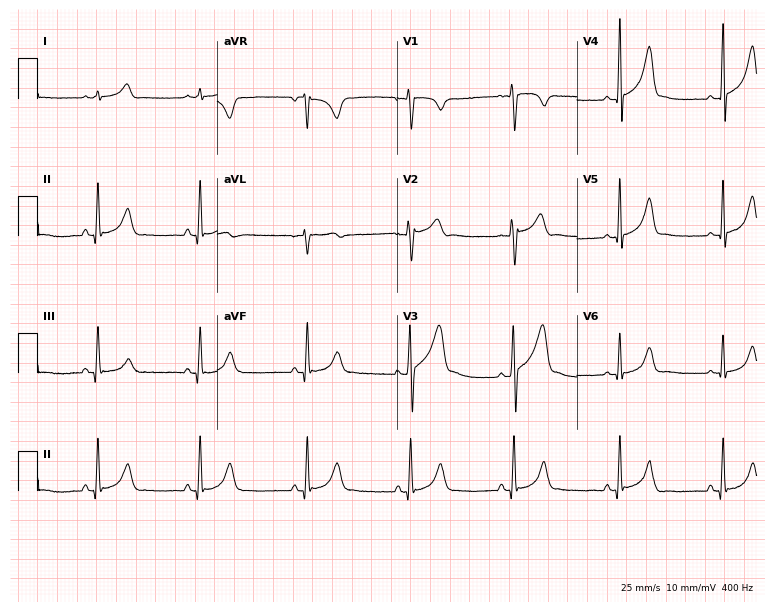
ECG — a 24-year-old male patient. Labelled as a normal ECG.